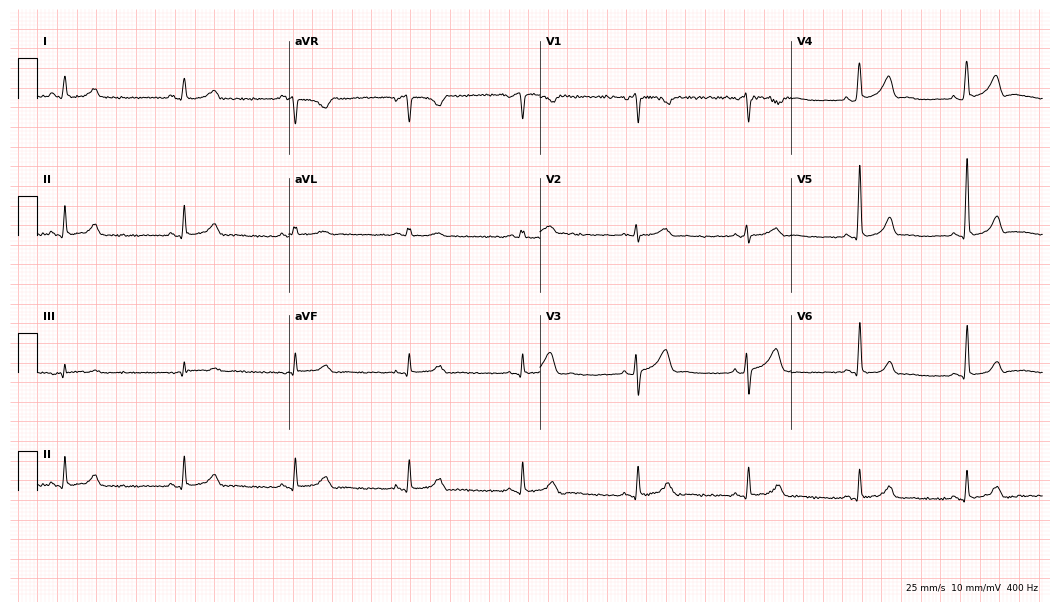
12-lead ECG from a 35-year-old woman (10.2-second recording at 400 Hz). Recorded interpretation: within normal limits.